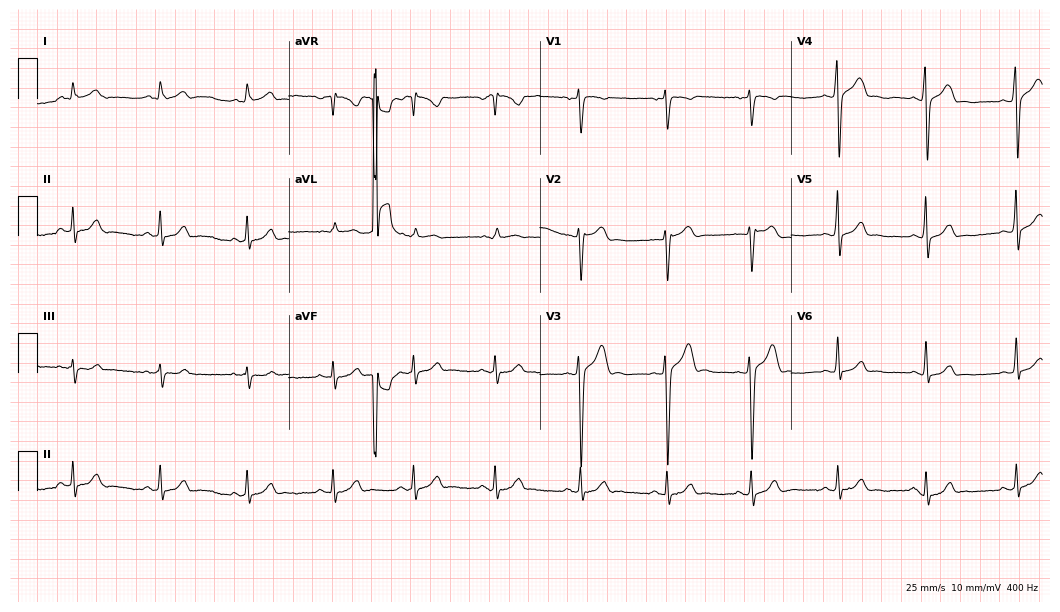
12-lead ECG from a 22-year-old male (10.2-second recording at 400 Hz). Recorded interpretation: within normal limits.